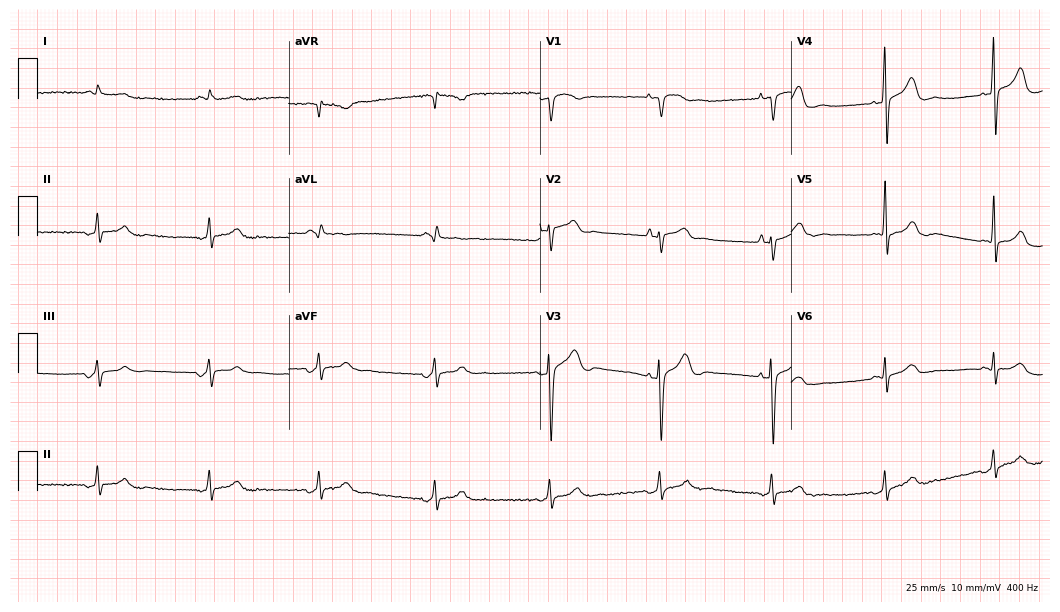
12-lead ECG from an 80-year-old male. Screened for six findings — first-degree AV block, right bundle branch block (RBBB), left bundle branch block (LBBB), sinus bradycardia, atrial fibrillation (AF), sinus tachycardia — none is recorded.